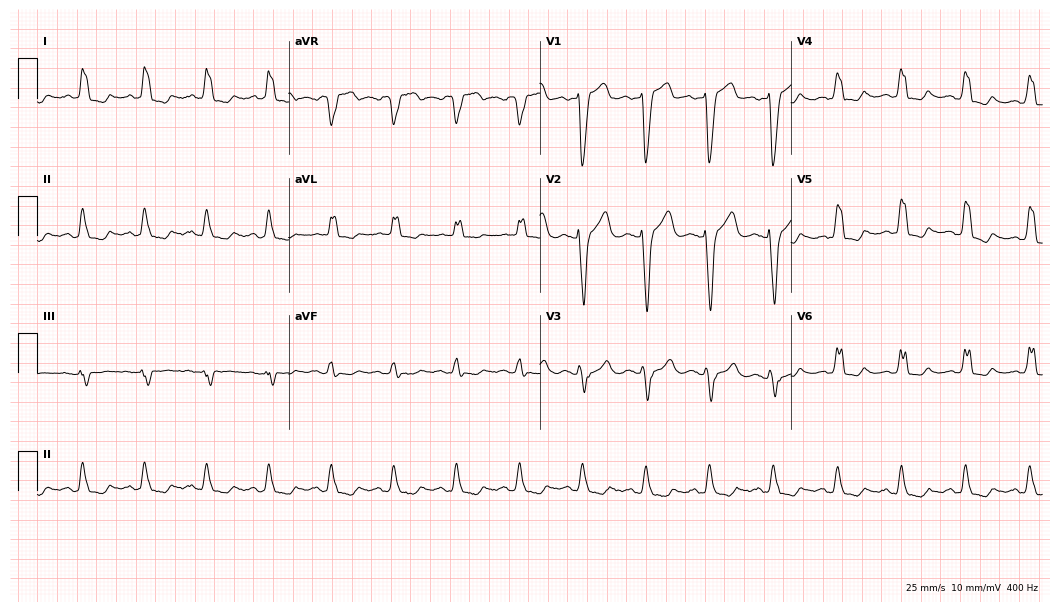
Resting 12-lead electrocardiogram. Patient: a 79-year-old female. The tracing shows left bundle branch block.